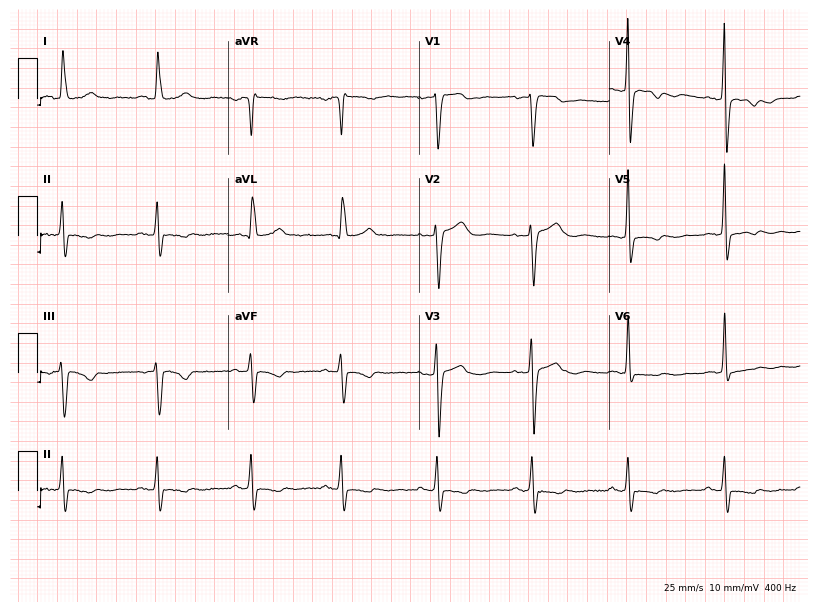
12-lead ECG from a female, 52 years old. No first-degree AV block, right bundle branch block, left bundle branch block, sinus bradycardia, atrial fibrillation or sinus tachycardia recorded for this tracing. Findings outside these six are not listed.